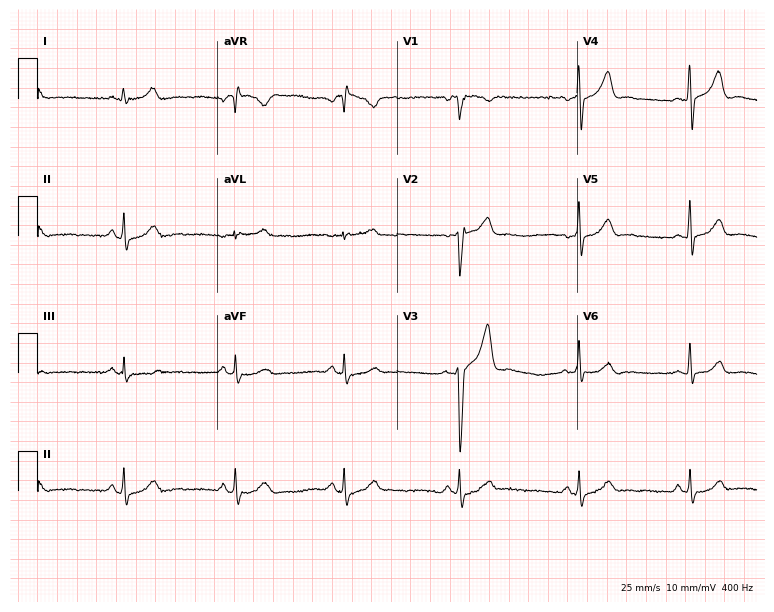
Resting 12-lead electrocardiogram (7.3-second recording at 400 Hz). Patient: a male, 34 years old. Read as a normal ECG.